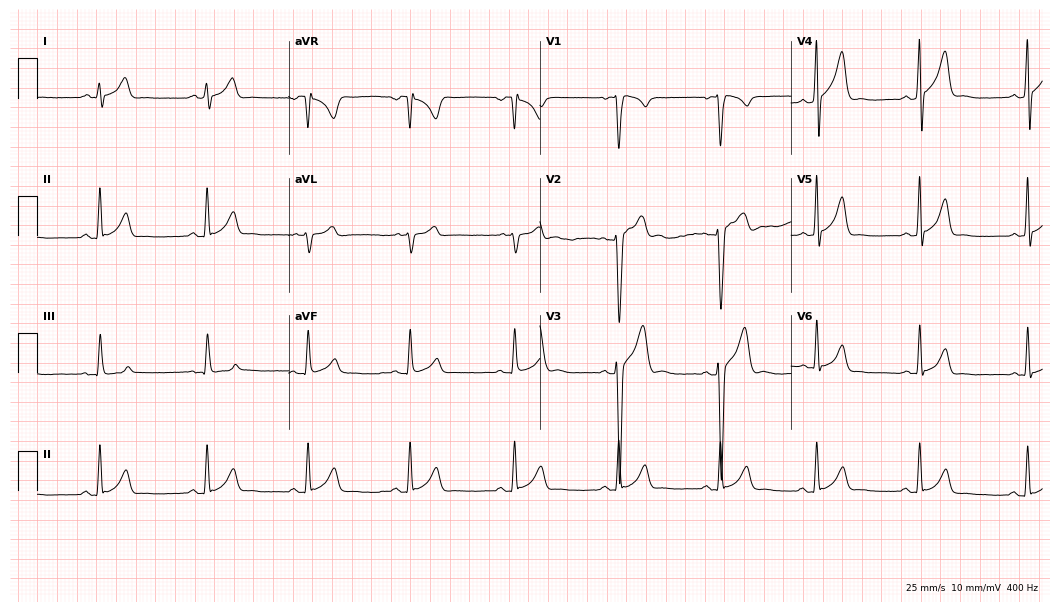
12-lead ECG from a male patient, 21 years old (10.2-second recording at 400 Hz). Recorded interpretation: within normal limits.